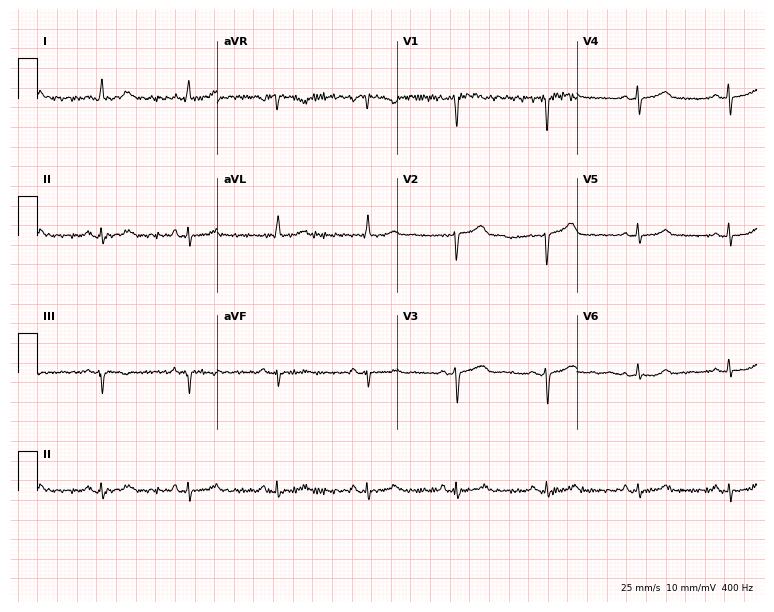
Electrocardiogram, a woman, 38 years old. Of the six screened findings (first-degree AV block, right bundle branch block, left bundle branch block, sinus bradycardia, atrial fibrillation, sinus tachycardia), none is recorded.